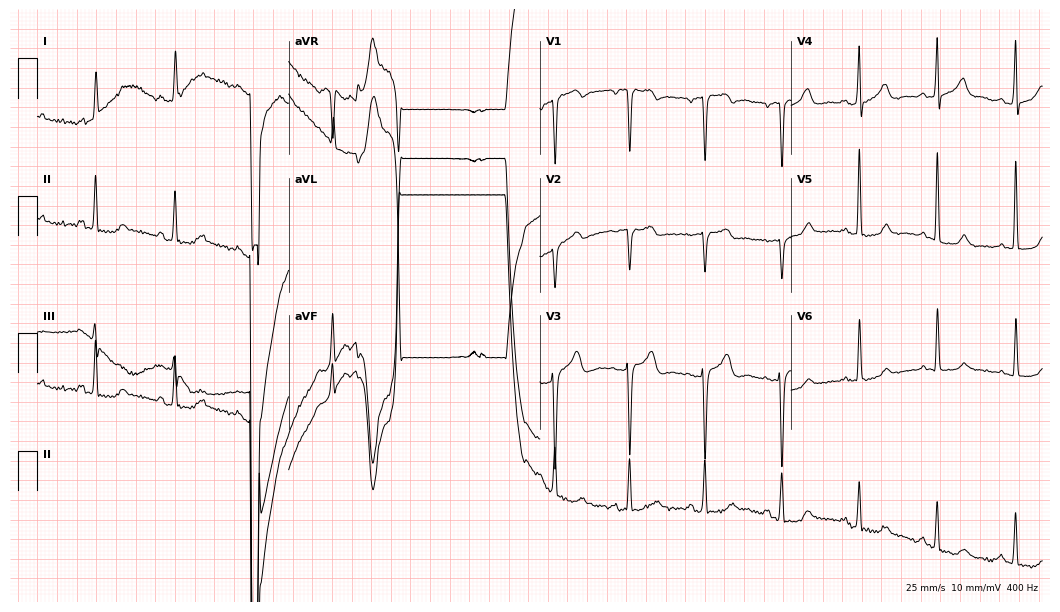
12-lead ECG (10.2-second recording at 400 Hz) from a female, 85 years old. Screened for six findings — first-degree AV block, right bundle branch block, left bundle branch block, sinus bradycardia, atrial fibrillation, sinus tachycardia — none is recorded. Findings outside these six are not listed.